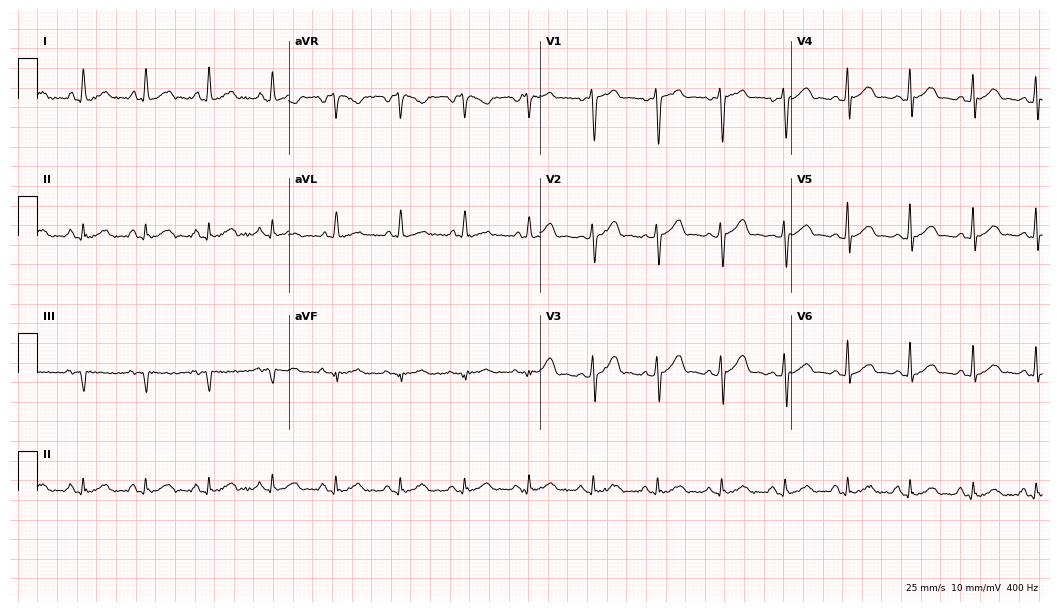
Standard 12-lead ECG recorded from a male, 47 years old (10.2-second recording at 400 Hz). None of these six findings is recorded: first-degree AV block, right bundle branch block, left bundle branch block, sinus bradycardia, atrial fibrillation, sinus tachycardia.